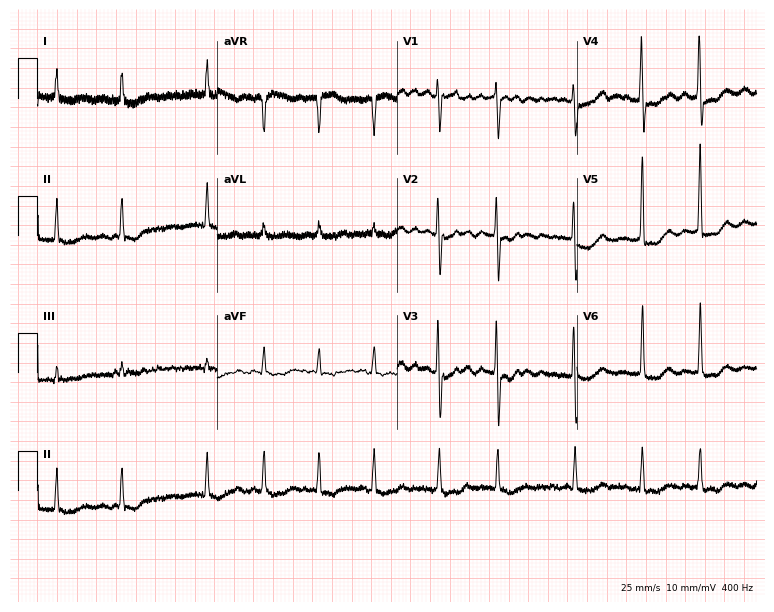
Electrocardiogram (7.3-second recording at 400 Hz), an 83-year-old female. Of the six screened findings (first-degree AV block, right bundle branch block, left bundle branch block, sinus bradycardia, atrial fibrillation, sinus tachycardia), none is recorded. Other findings, if any, are not listed.